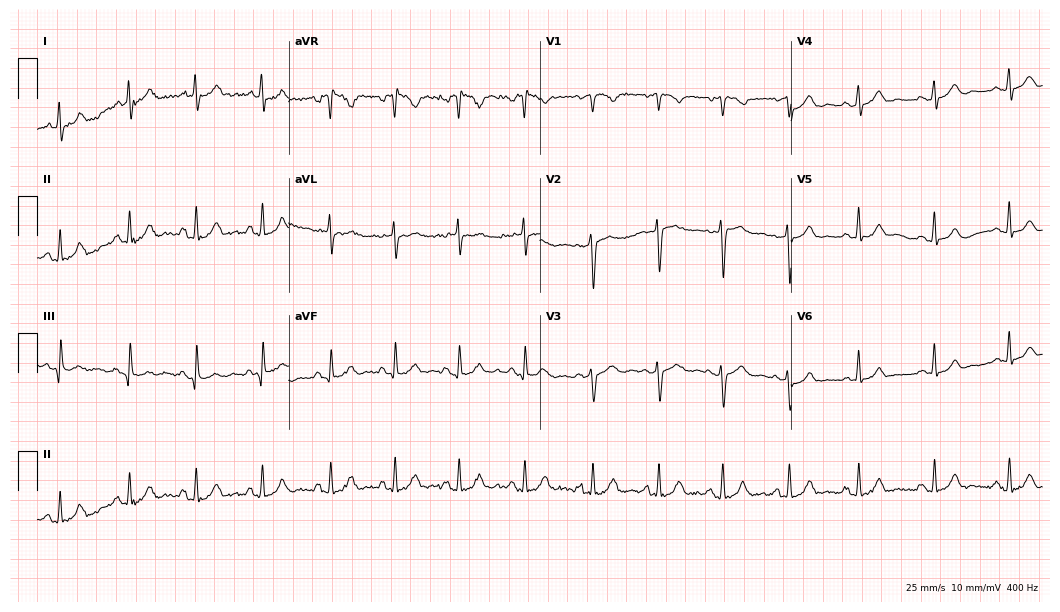
12-lead ECG from a 22-year-old woman (10.2-second recording at 400 Hz). No first-degree AV block, right bundle branch block, left bundle branch block, sinus bradycardia, atrial fibrillation or sinus tachycardia recorded for this tracing. Only these six findings were labelled.